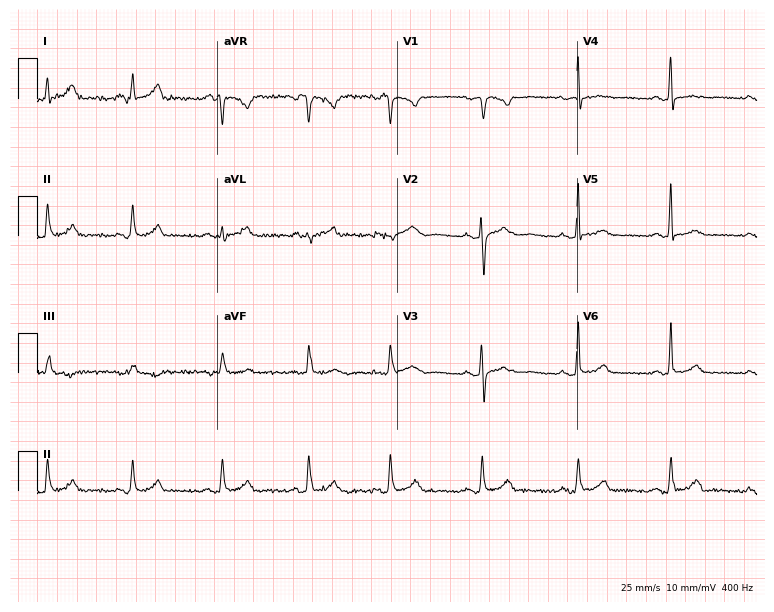
Resting 12-lead electrocardiogram. Patient: a 38-year-old female. None of these six findings is recorded: first-degree AV block, right bundle branch block (RBBB), left bundle branch block (LBBB), sinus bradycardia, atrial fibrillation (AF), sinus tachycardia. Other findings, if any, are not listed.